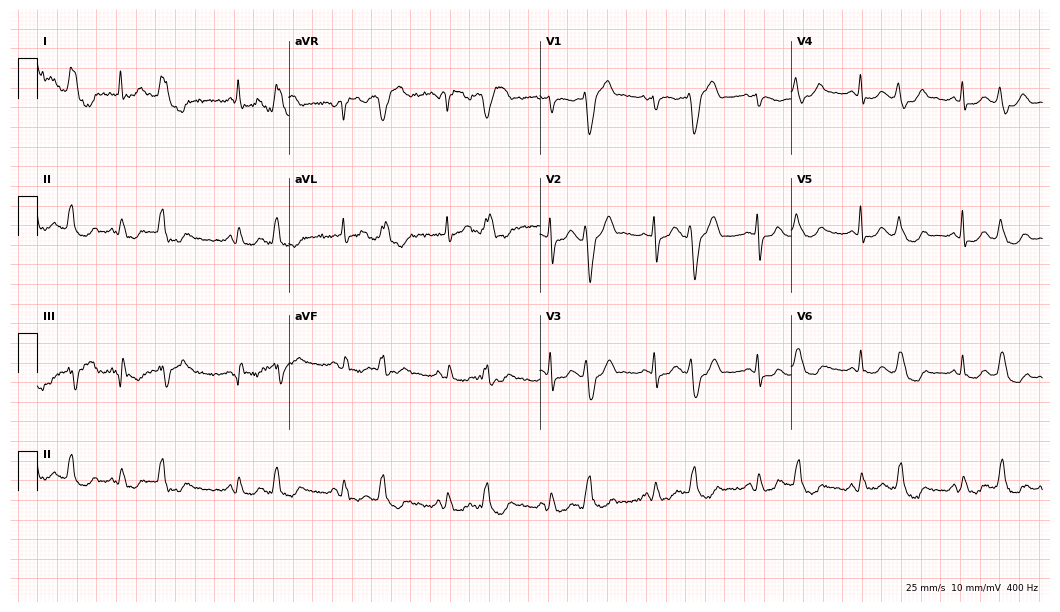
Standard 12-lead ECG recorded from a female, 82 years old. None of these six findings is recorded: first-degree AV block, right bundle branch block (RBBB), left bundle branch block (LBBB), sinus bradycardia, atrial fibrillation (AF), sinus tachycardia. Other findings, if any, are not listed.